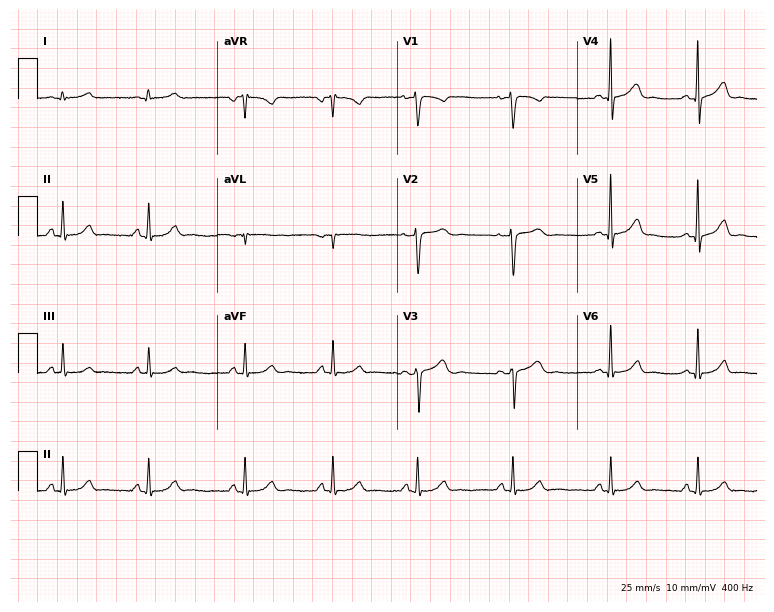
Resting 12-lead electrocardiogram (7.3-second recording at 400 Hz). Patient: a 25-year-old woman. Read as a normal ECG.